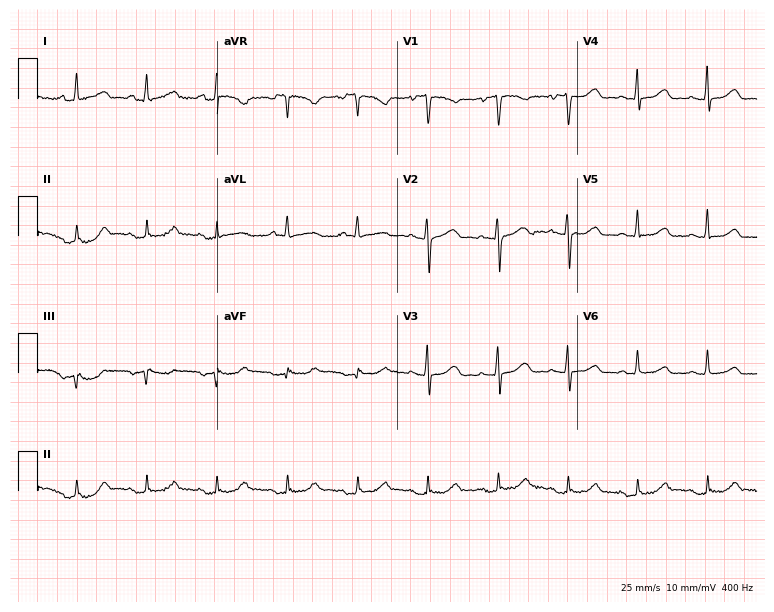
12-lead ECG from a 50-year-old woman (7.3-second recording at 400 Hz). Recorded interpretation: within normal limits.